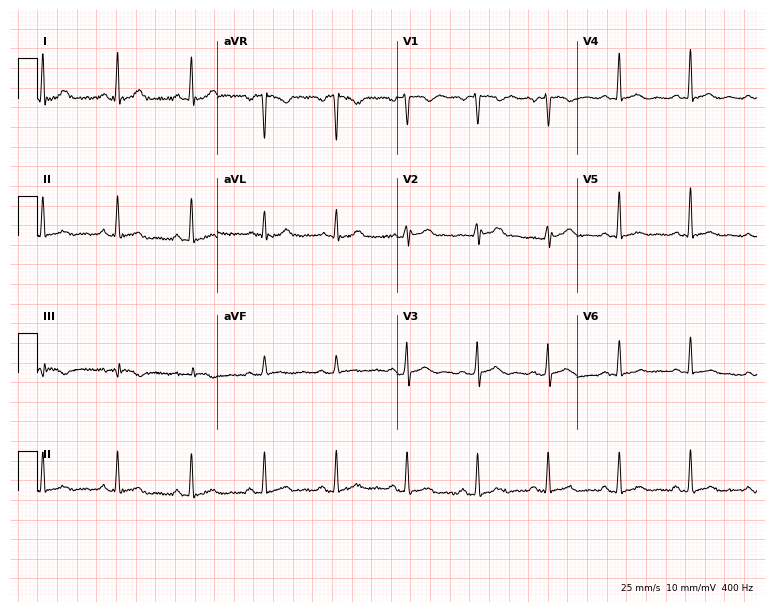
Standard 12-lead ECG recorded from a 39-year-old man (7.3-second recording at 400 Hz). None of these six findings is recorded: first-degree AV block, right bundle branch block, left bundle branch block, sinus bradycardia, atrial fibrillation, sinus tachycardia.